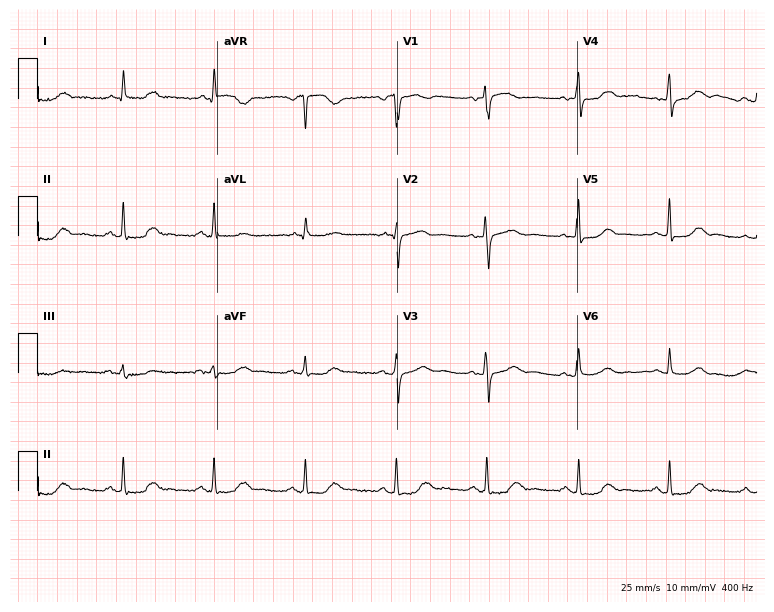
Electrocardiogram (7.3-second recording at 400 Hz), a 69-year-old female patient. Of the six screened findings (first-degree AV block, right bundle branch block, left bundle branch block, sinus bradycardia, atrial fibrillation, sinus tachycardia), none is recorded.